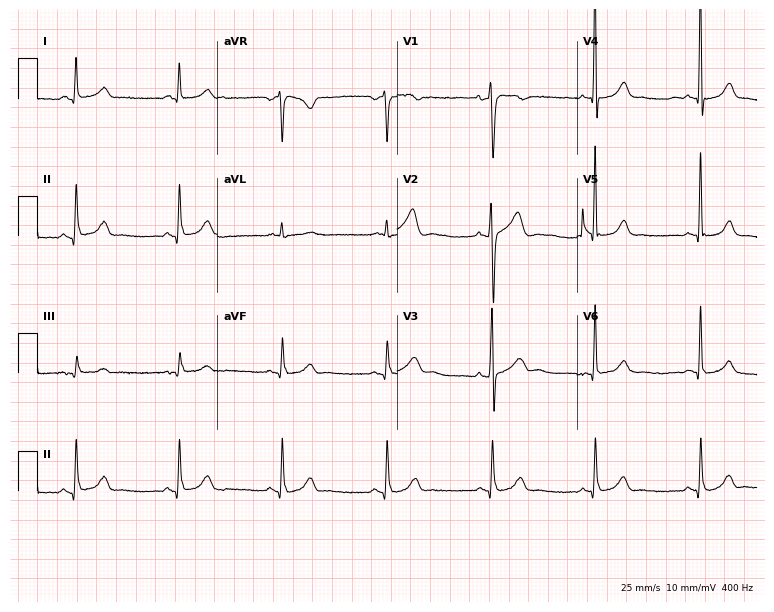
Resting 12-lead electrocardiogram. Patient: a 50-year-old man. Read as a normal ECG.